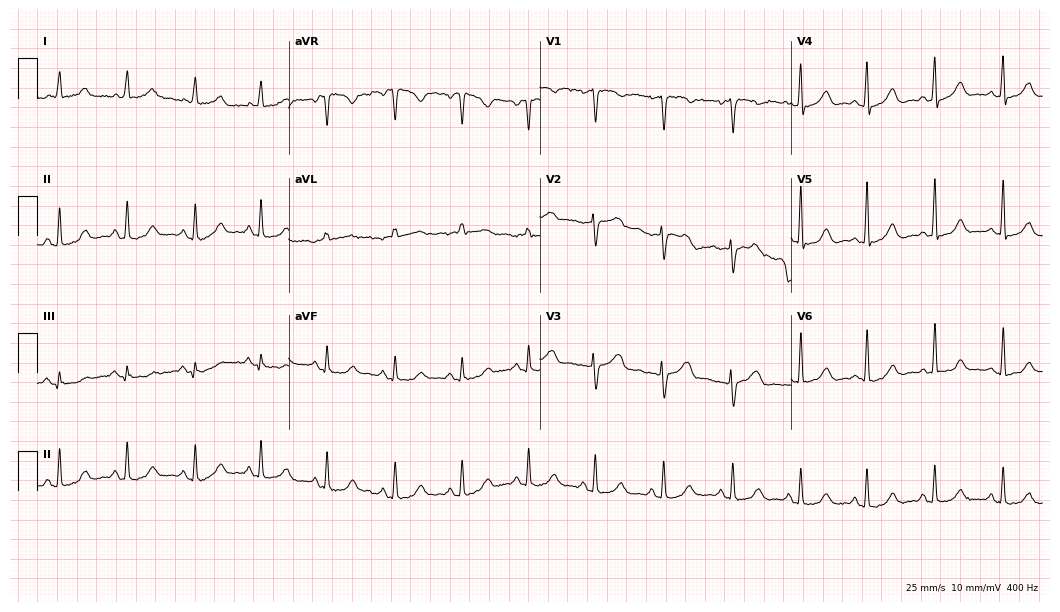
12-lead ECG from a female, 49 years old. Labelled as a normal ECG.